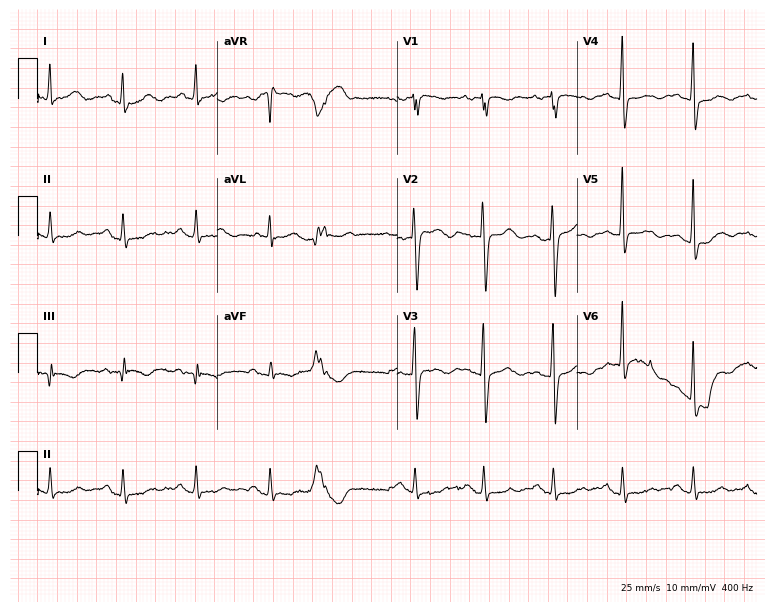
ECG (7.3-second recording at 400 Hz) — a 69-year-old female patient. Screened for six findings — first-degree AV block, right bundle branch block, left bundle branch block, sinus bradycardia, atrial fibrillation, sinus tachycardia — none is recorded.